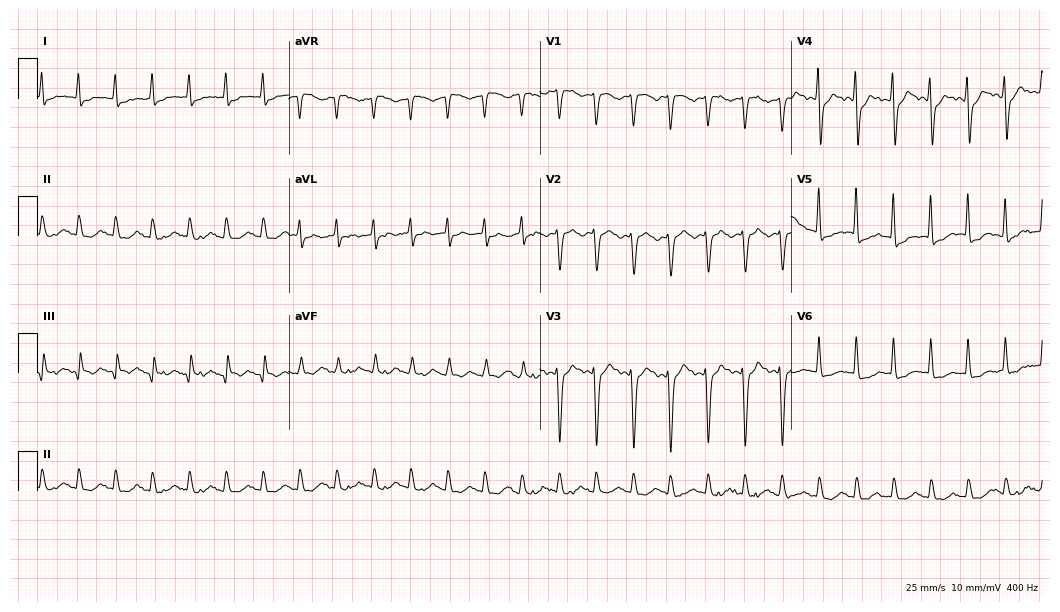
ECG (10.2-second recording at 400 Hz) — an 80-year-old male. Screened for six findings — first-degree AV block, right bundle branch block, left bundle branch block, sinus bradycardia, atrial fibrillation, sinus tachycardia — none is recorded. Only these six findings were labelled.